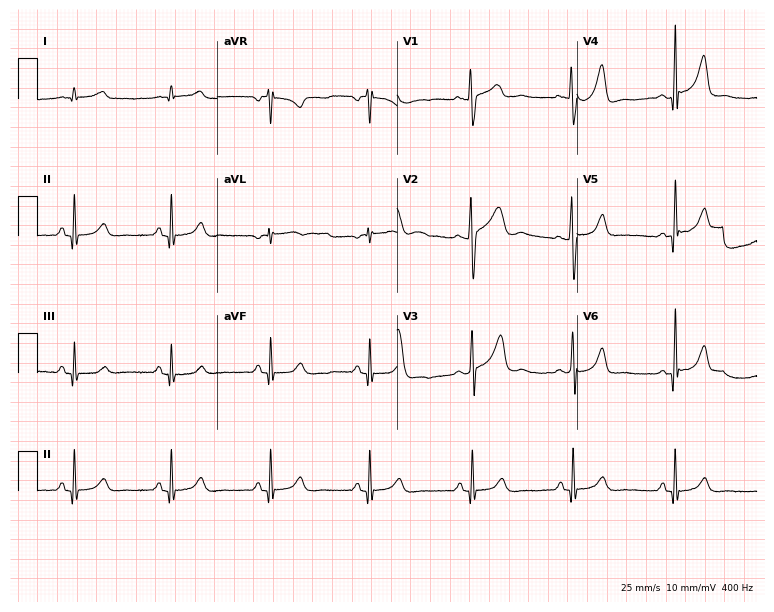
ECG (7.3-second recording at 400 Hz) — a female patient, 48 years old. Labelled as a normal ECG.